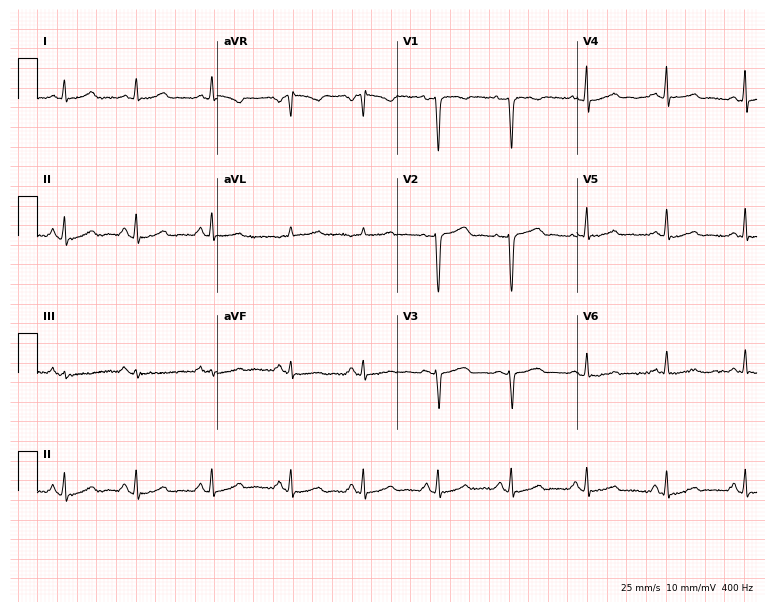
Standard 12-lead ECG recorded from a man, 31 years old (7.3-second recording at 400 Hz). Read as a normal ECG.